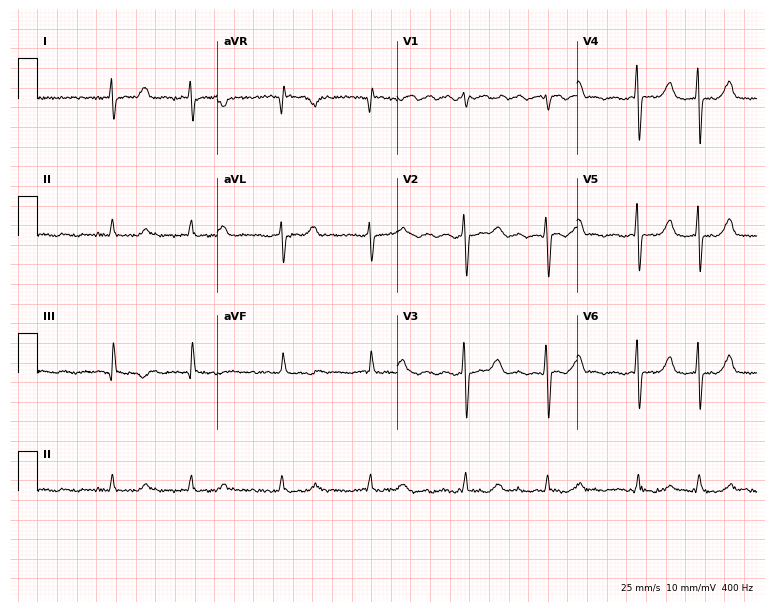
ECG — a female patient, 45 years old. Findings include atrial fibrillation (AF).